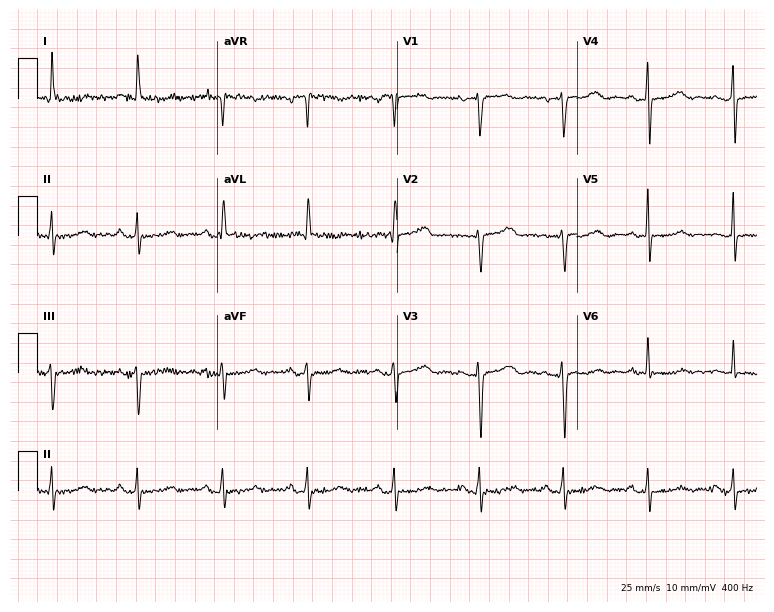
Electrocardiogram (7.3-second recording at 400 Hz), a 70-year-old woman. Overall reading on record: normal ECG.